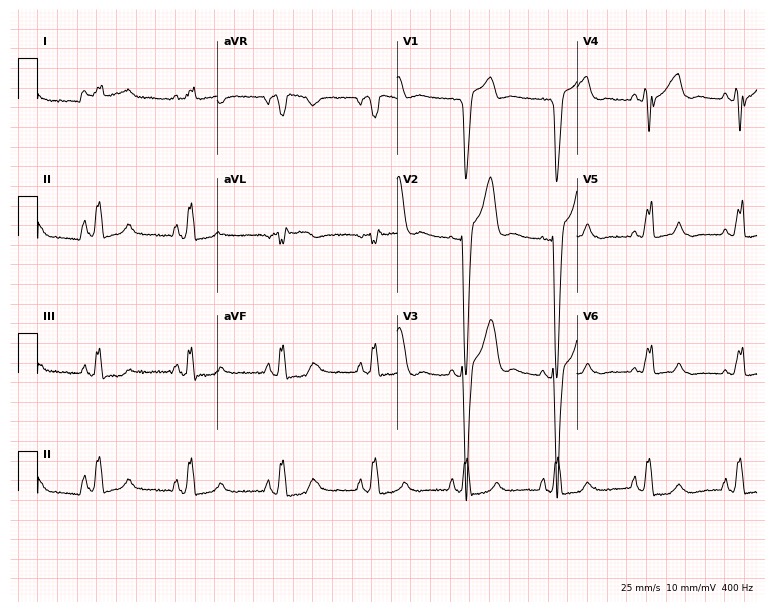
Resting 12-lead electrocardiogram. Patient: a 69-year-old man. The tracing shows left bundle branch block.